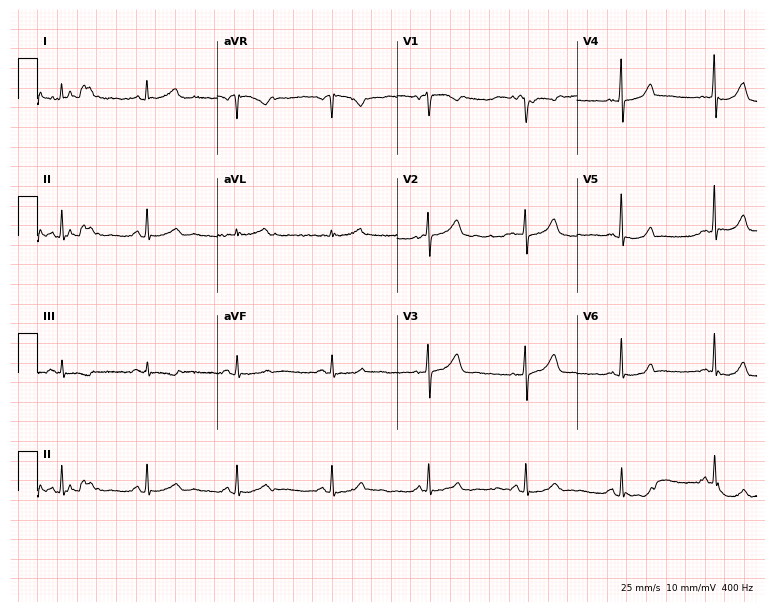
Resting 12-lead electrocardiogram. Patient: a woman, 34 years old. Read as a normal ECG.